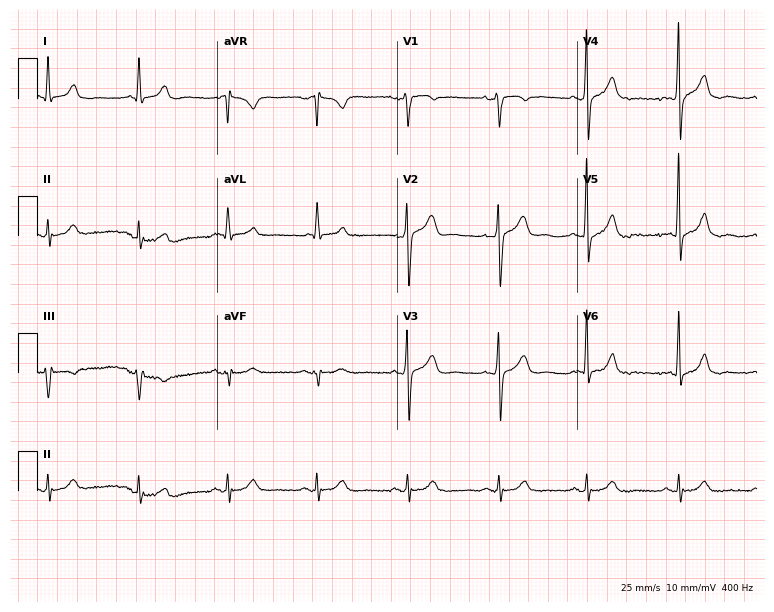
12-lead ECG (7.3-second recording at 400 Hz) from an 83-year-old male. Labelled as a normal ECG.